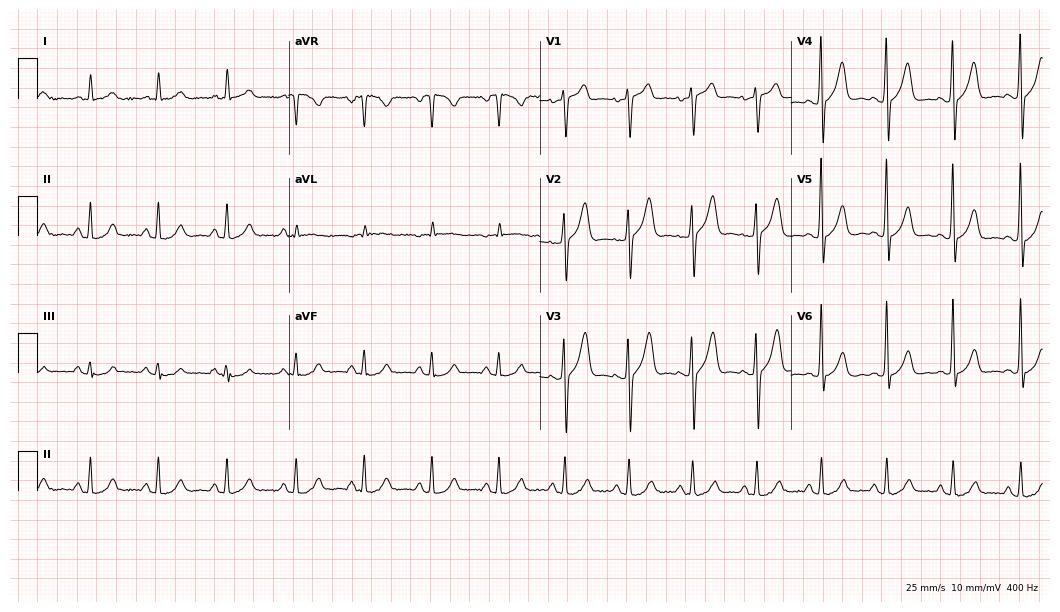
12-lead ECG from a man, 73 years old (10.2-second recording at 400 Hz). Recorded interpretation: within normal limits.